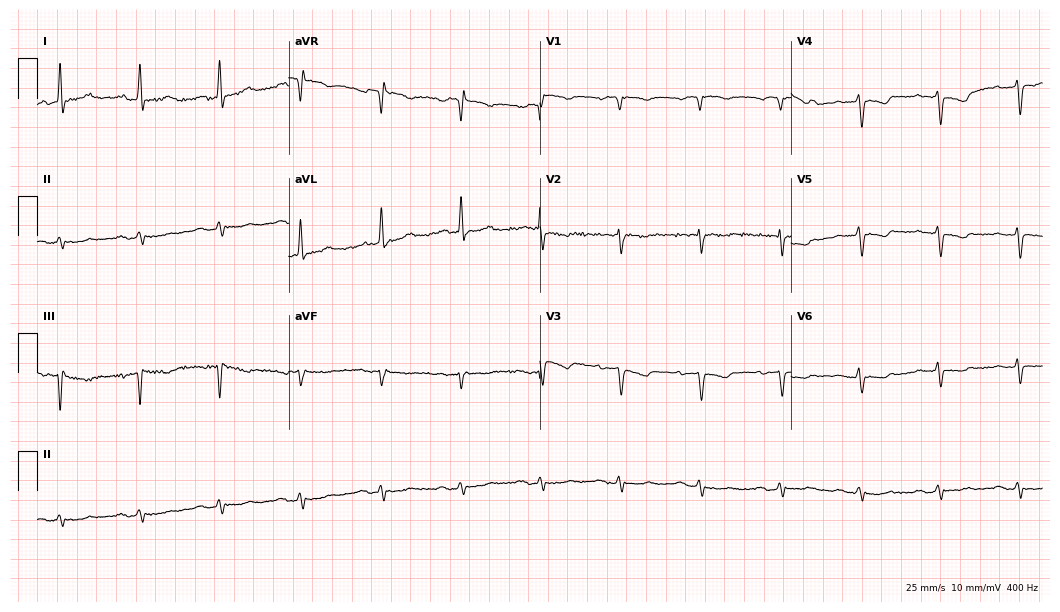
12-lead ECG (10.2-second recording at 400 Hz) from a female patient, 79 years old. Findings include first-degree AV block.